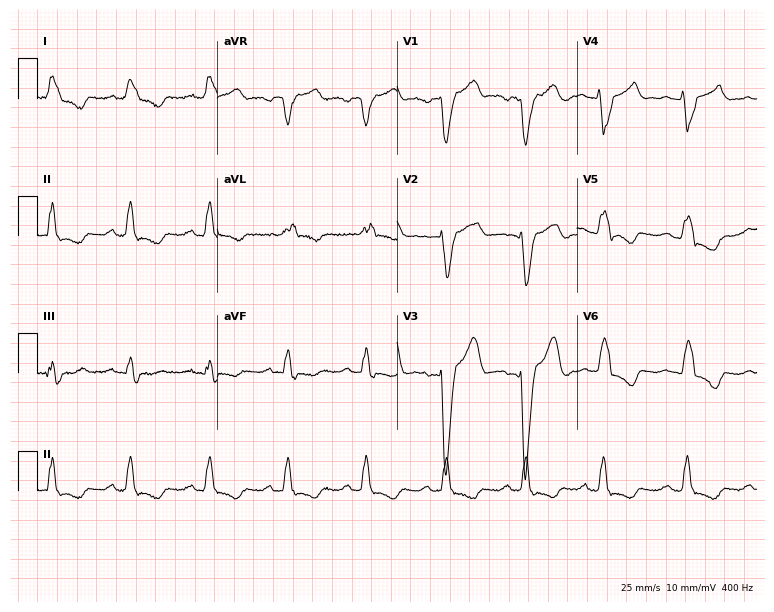
ECG — a male patient, 68 years old. Findings include left bundle branch block.